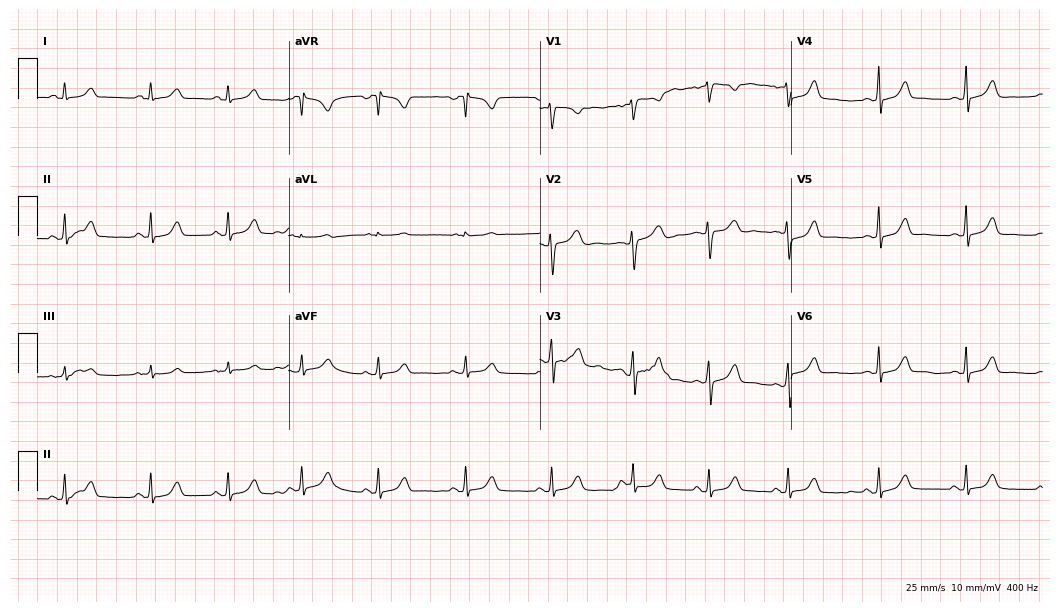
Resting 12-lead electrocardiogram. Patient: a 17-year-old female. Read as a normal ECG.